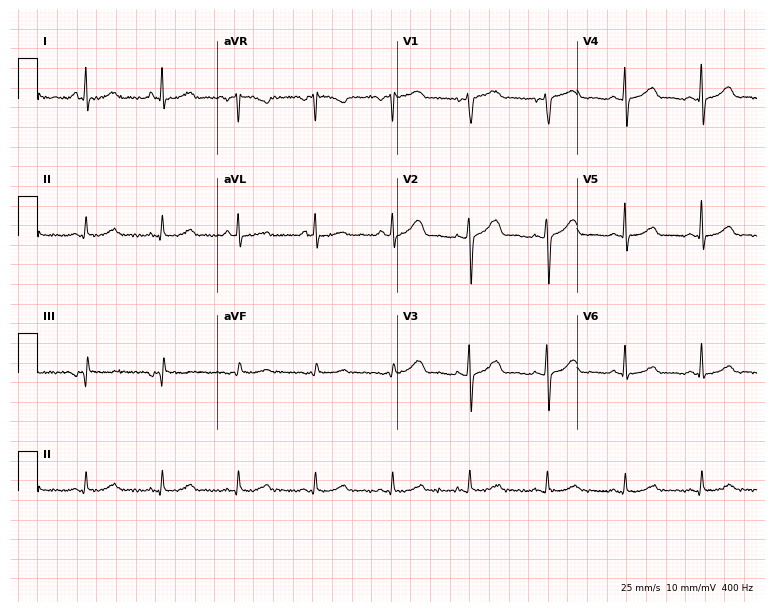
ECG (7.3-second recording at 400 Hz) — a 68-year-old female patient. Labelled as a normal ECG.